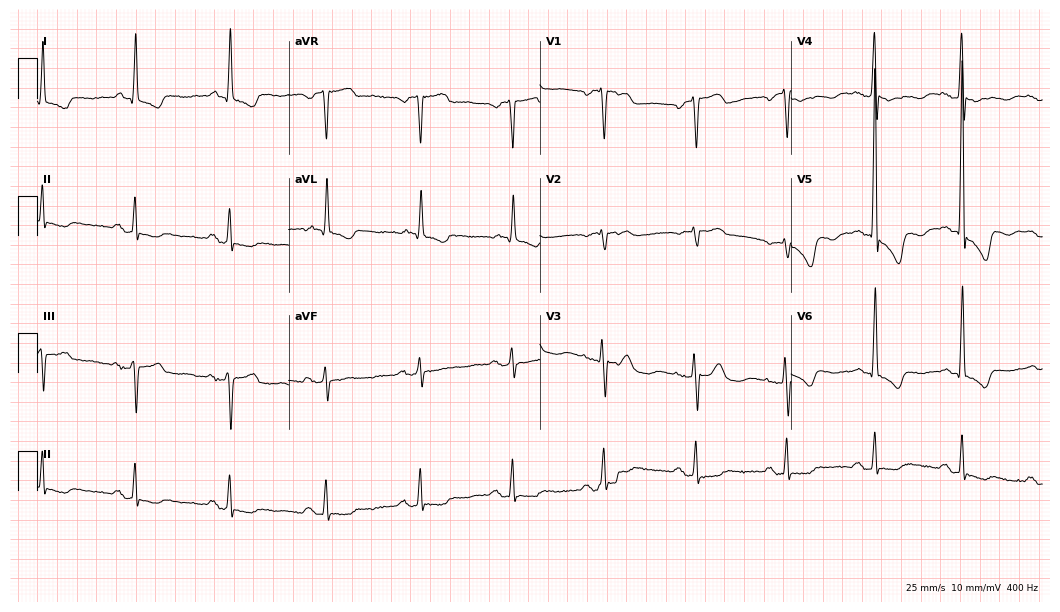
Resting 12-lead electrocardiogram (10.2-second recording at 400 Hz). Patient: a woman, 71 years old. None of these six findings is recorded: first-degree AV block, right bundle branch block, left bundle branch block, sinus bradycardia, atrial fibrillation, sinus tachycardia.